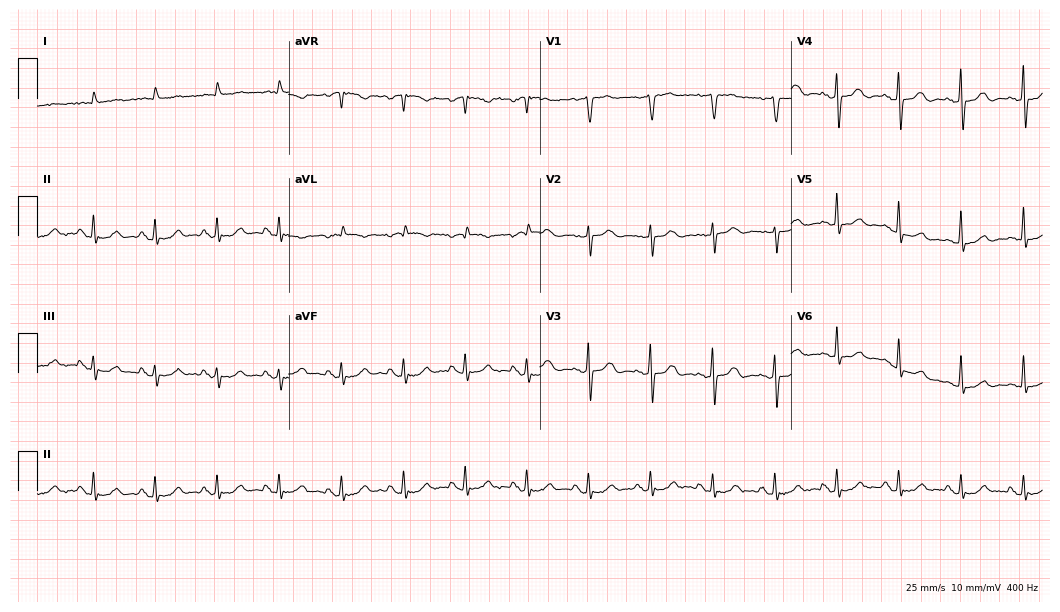
Standard 12-lead ECG recorded from an 84-year-old male patient. None of these six findings is recorded: first-degree AV block, right bundle branch block, left bundle branch block, sinus bradycardia, atrial fibrillation, sinus tachycardia. Other findings, if any, are not listed.